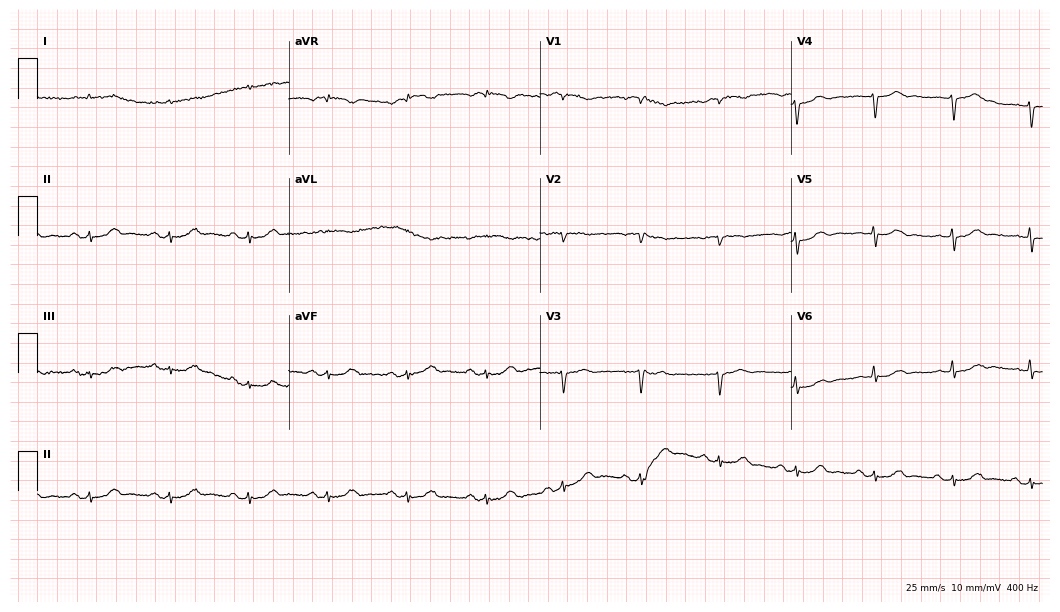
Resting 12-lead electrocardiogram (10.2-second recording at 400 Hz). Patient: a male, 85 years old. None of these six findings is recorded: first-degree AV block, right bundle branch block (RBBB), left bundle branch block (LBBB), sinus bradycardia, atrial fibrillation (AF), sinus tachycardia.